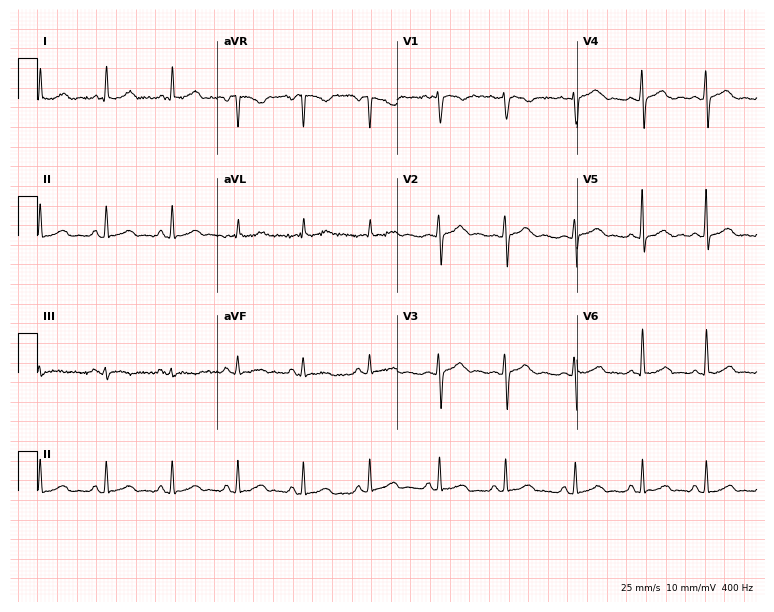
Resting 12-lead electrocardiogram. Patient: a female, 27 years old. Read as a normal ECG.